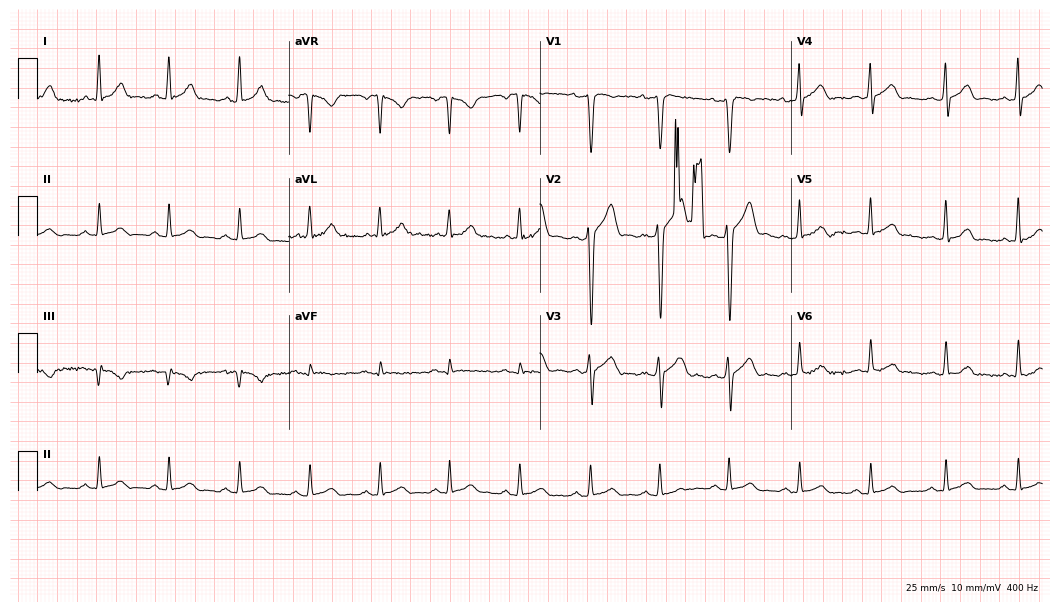
Resting 12-lead electrocardiogram. Patient: a male, 40 years old. Read as a normal ECG.